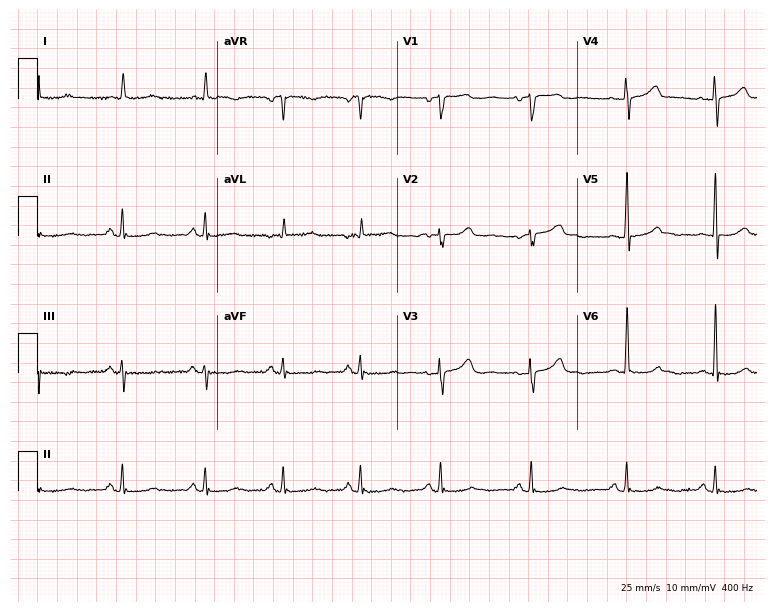
ECG (7.3-second recording at 400 Hz) — a female patient, 53 years old. Screened for six findings — first-degree AV block, right bundle branch block, left bundle branch block, sinus bradycardia, atrial fibrillation, sinus tachycardia — none is recorded. Only these six findings were labelled.